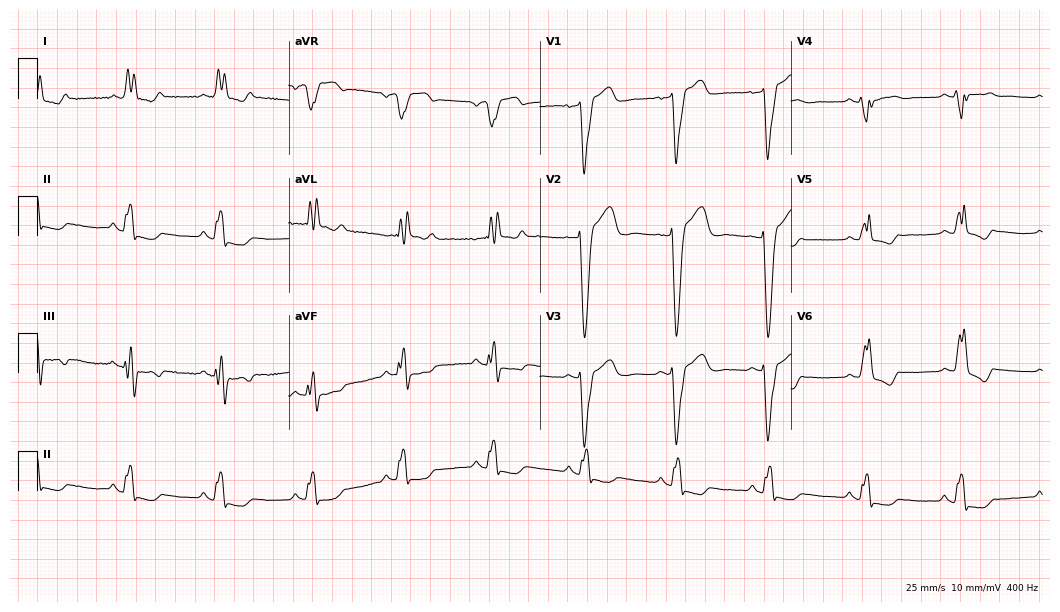
Standard 12-lead ECG recorded from a female patient, 72 years old (10.2-second recording at 400 Hz). The tracing shows left bundle branch block (LBBB).